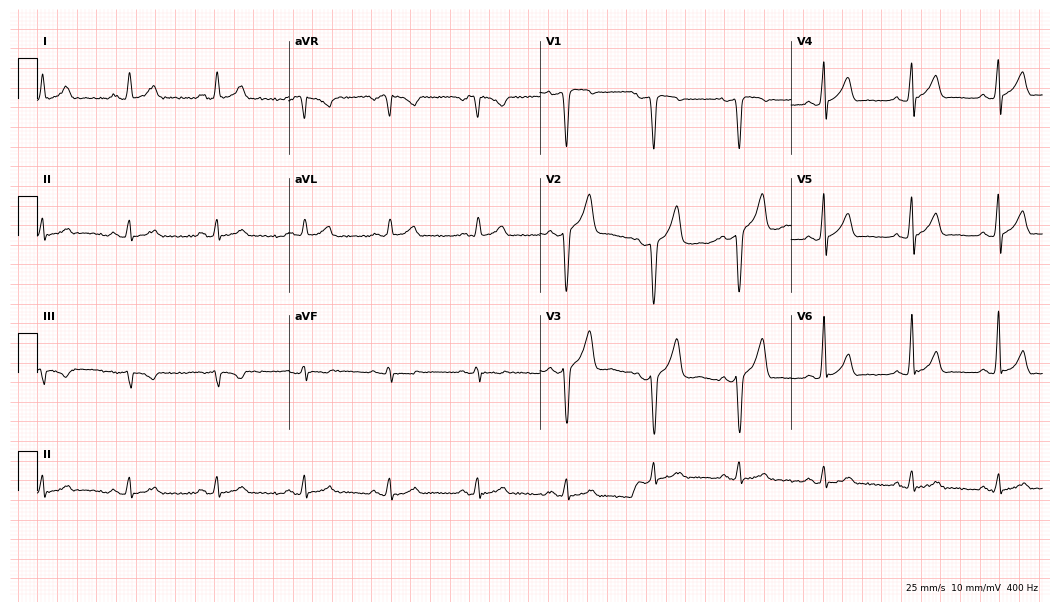
Electrocardiogram, a man, 41 years old. Overall reading on record: normal ECG.